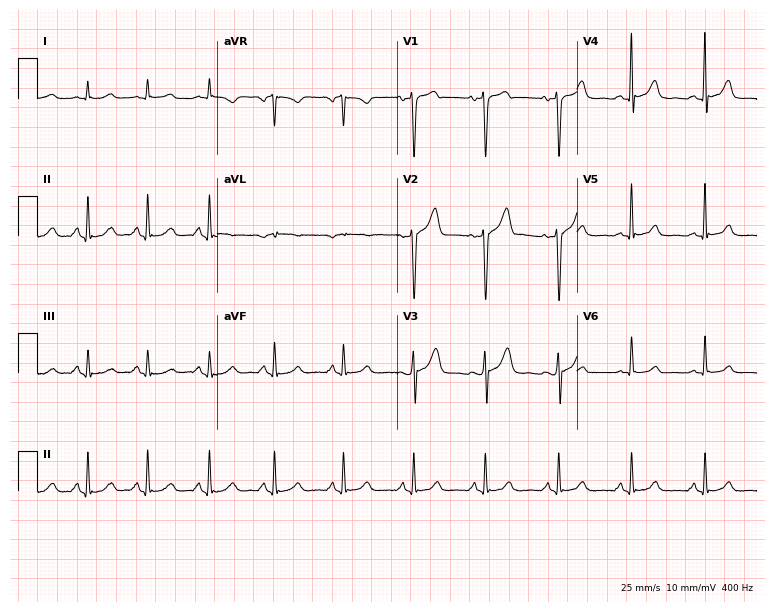
ECG — a 42-year-old male patient. Screened for six findings — first-degree AV block, right bundle branch block (RBBB), left bundle branch block (LBBB), sinus bradycardia, atrial fibrillation (AF), sinus tachycardia — none is recorded. Findings outside these six are not listed.